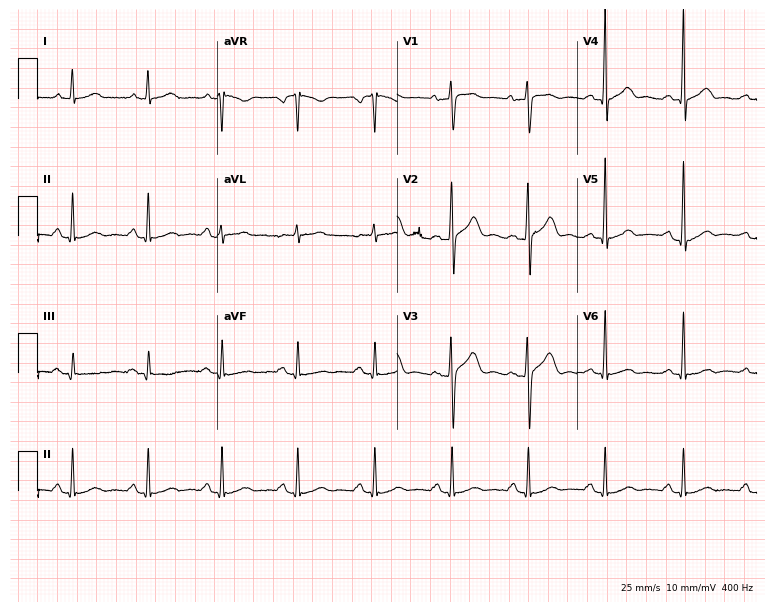
Resting 12-lead electrocardiogram. Patient: a 52-year-old male. Read as a normal ECG.